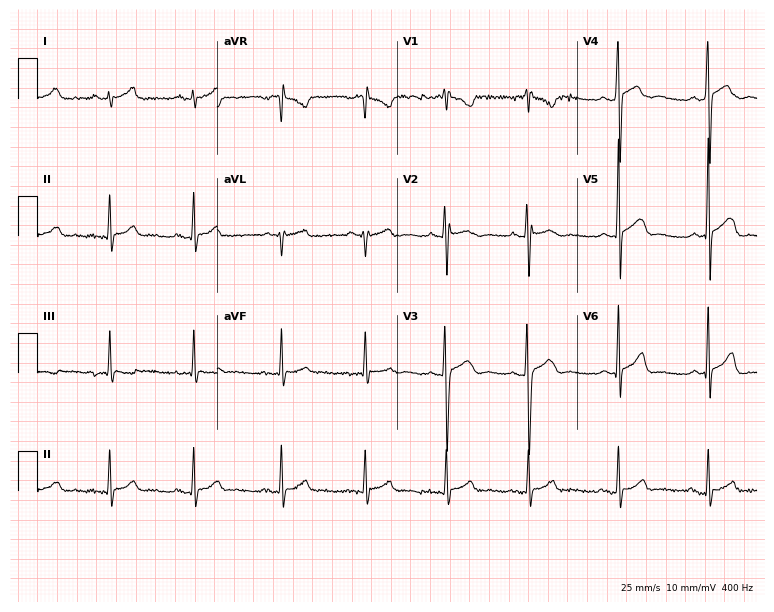
ECG (7.3-second recording at 400 Hz) — a male patient, 17 years old. Labelled as a normal ECG.